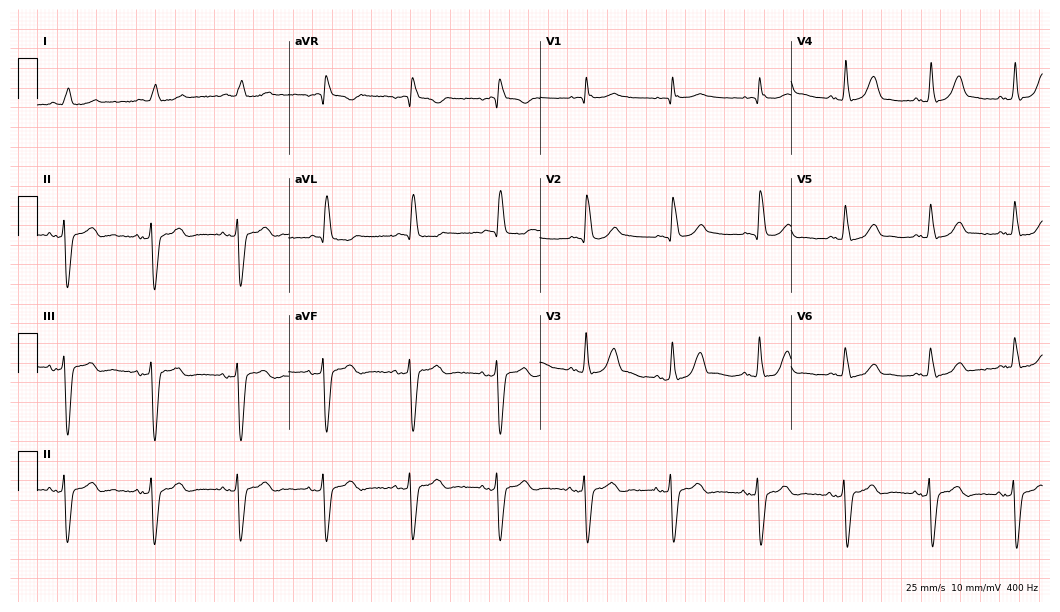
12-lead ECG from an 82-year-old man. No first-degree AV block, right bundle branch block (RBBB), left bundle branch block (LBBB), sinus bradycardia, atrial fibrillation (AF) or sinus tachycardia recorded for this tracing. Only these six findings were labelled.